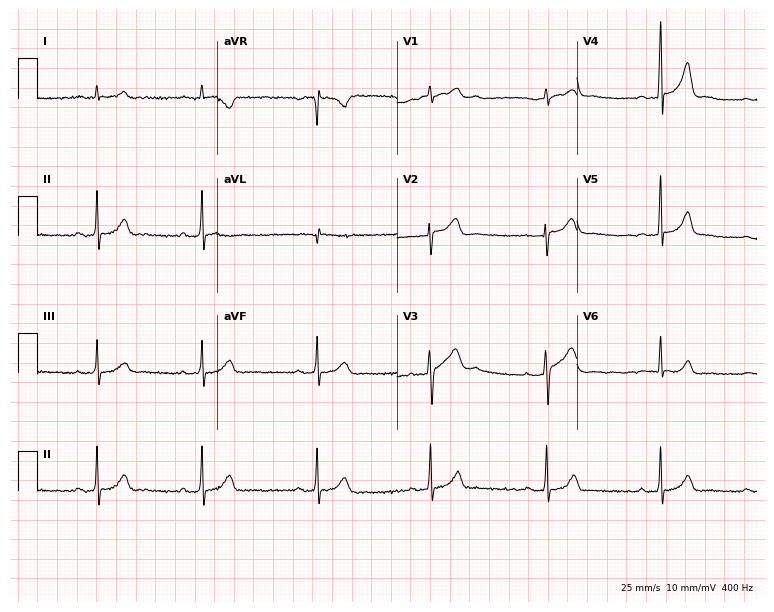
Resting 12-lead electrocardiogram. Patient: a 24-year-old man. Read as a normal ECG.